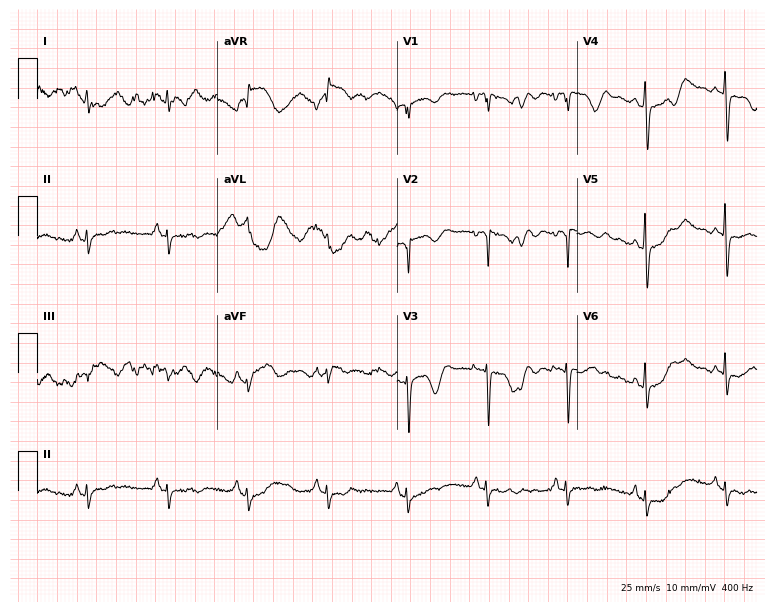
Standard 12-lead ECG recorded from a woman, 69 years old (7.3-second recording at 400 Hz). None of these six findings is recorded: first-degree AV block, right bundle branch block, left bundle branch block, sinus bradycardia, atrial fibrillation, sinus tachycardia. Only these six findings were labelled.